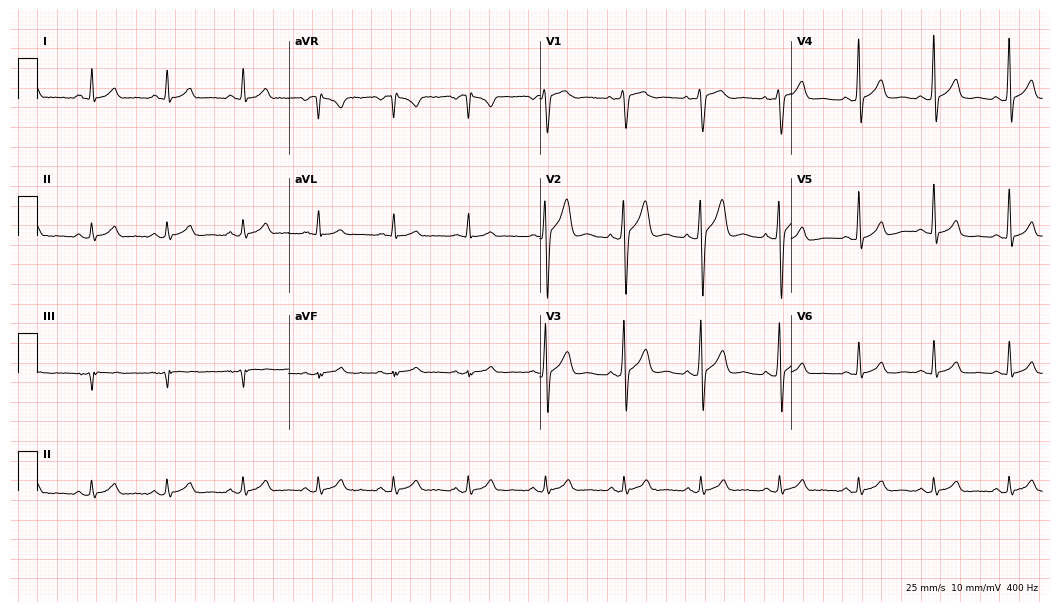
Standard 12-lead ECG recorded from a male, 31 years old (10.2-second recording at 400 Hz). None of these six findings is recorded: first-degree AV block, right bundle branch block, left bundle branch block, sinus bradycardia, atrial fibrillation, sinus tachycardia.